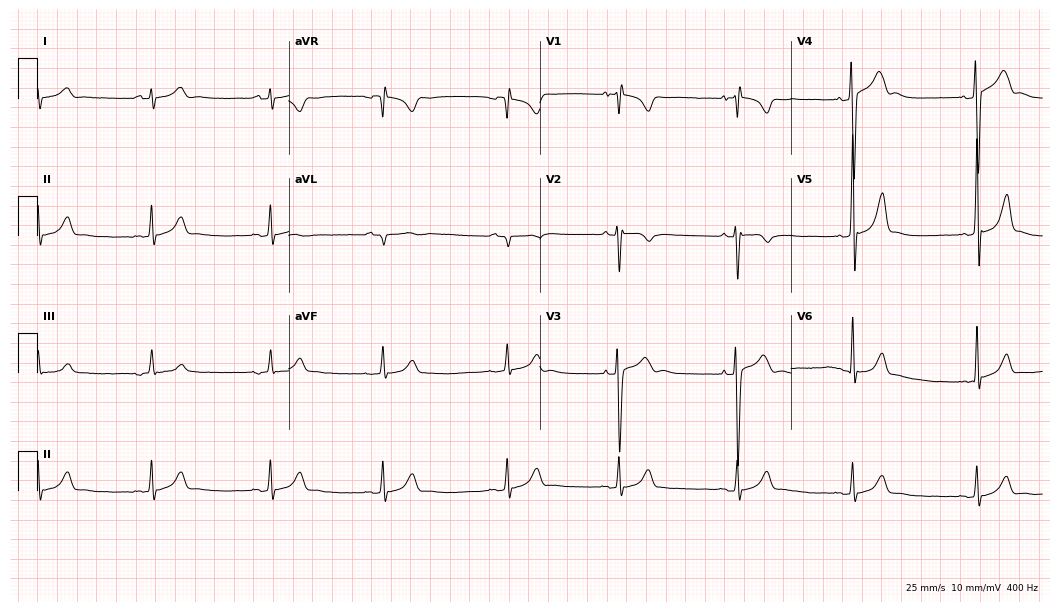
12-lead ECG (10.2-second recording at 400 Hz) from a male patient, 17 years old. Screened for six findings — first-degree AV block, right bundle branch block, left bundle branch block, sinus bradycardia, atrial fibrillation, sinus tachycardia — none is recorded.